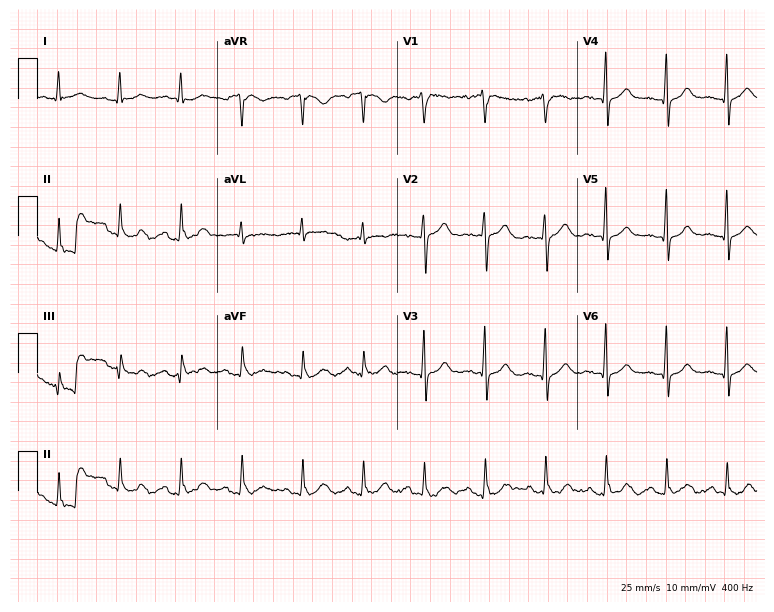
Resting 12-lead electrocardiogram. Patient: a man, 74 years old. None of these six findings is recorded: first-degree AV block, right bundle branch block (RBBB), left bundle branch block (LBBB), sinus bradycardia, atrial fibrillation (AF), sinus tachycardia.